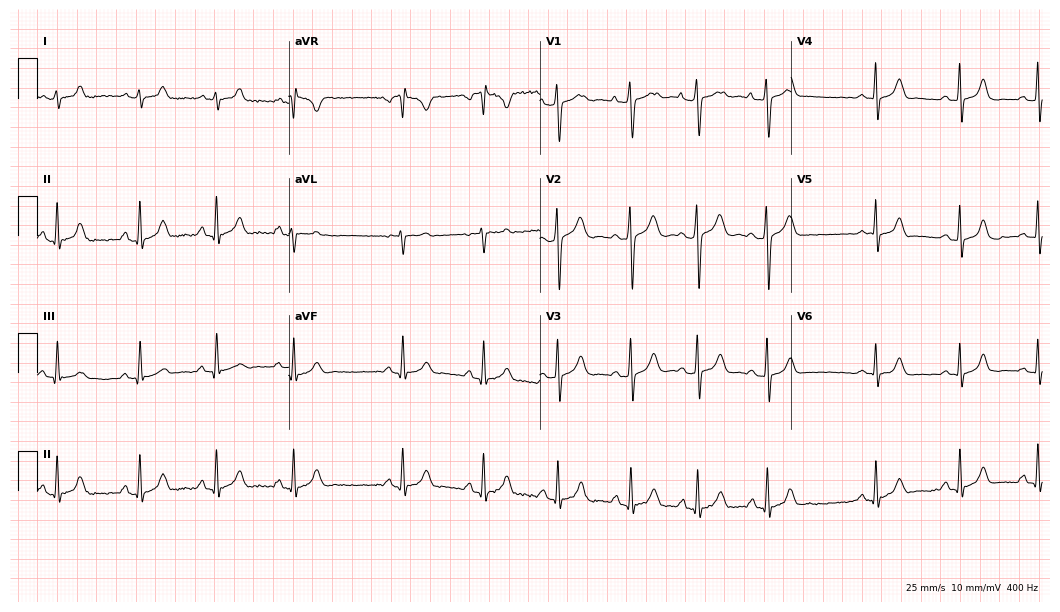
ECG (10.2-second recording at 400 Hz) — a woman, 17 years old. Labelled as a normal ECG.